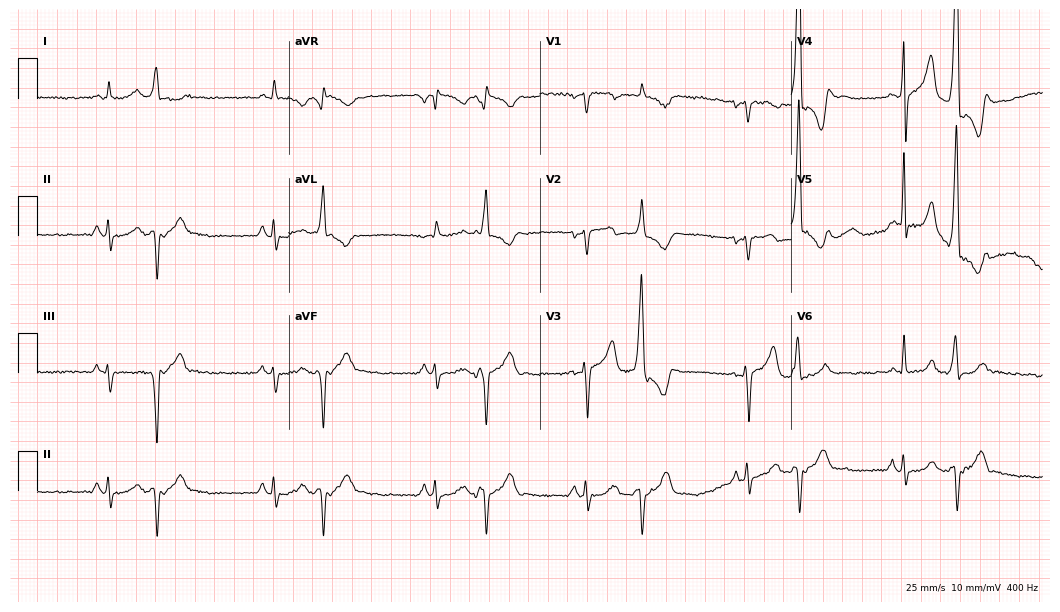
12-lead ECG (10.2-second recording at 400 Hz) from a 65-year-old male patient. Screened for six findings — first-degree AV block, right bundle branch block, left bundle branch block, sinus bradycardia, atrial fibrillation, sinus tachycardia — none is recorded. Findings outside these six are not listed.